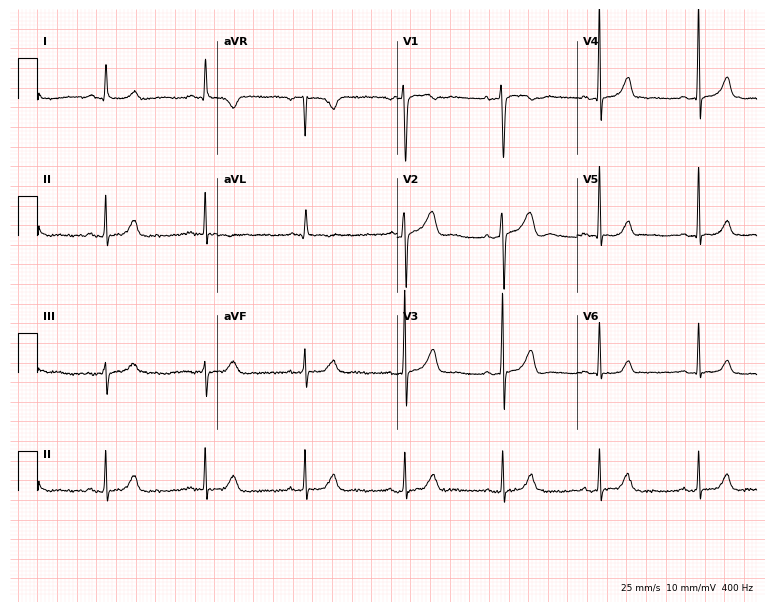
Electrocardiogram (7.3-second recording at 400 Hz), a 47-year-old female patient. Of the six screened findings (first-degree AV block, right bundle branch block (RBBB), left bundle branch block (LBBB), sinus bradycardia, atrial fibrillation (AF), sinus tachycardia), none is recorded.